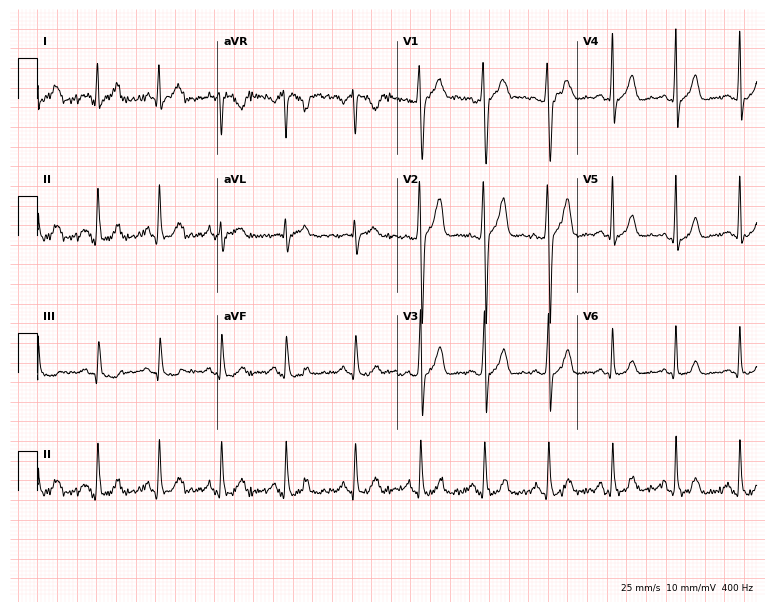
Standard 12-lead ECG recorded from a 23-year-old male patient. Read as a normal ECG.